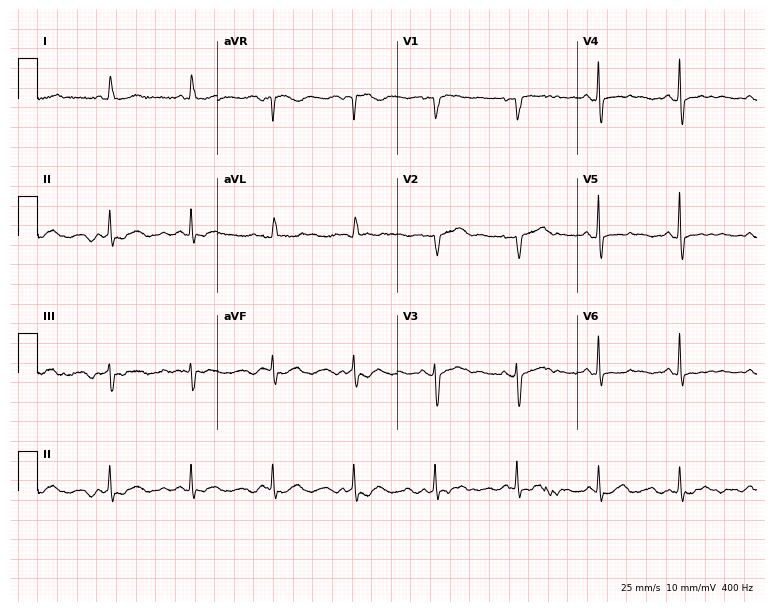
Electrocardiogram (7.3-second recording at 400 Hz), an 85-year-old woman. Of the six screened findings (first-degree AV block, right bundle branch block, left bundle branch block, sinus bradycardia, atrial fibrillation, sinus tachycardia), none is recorded. Only these six findings were labelled.